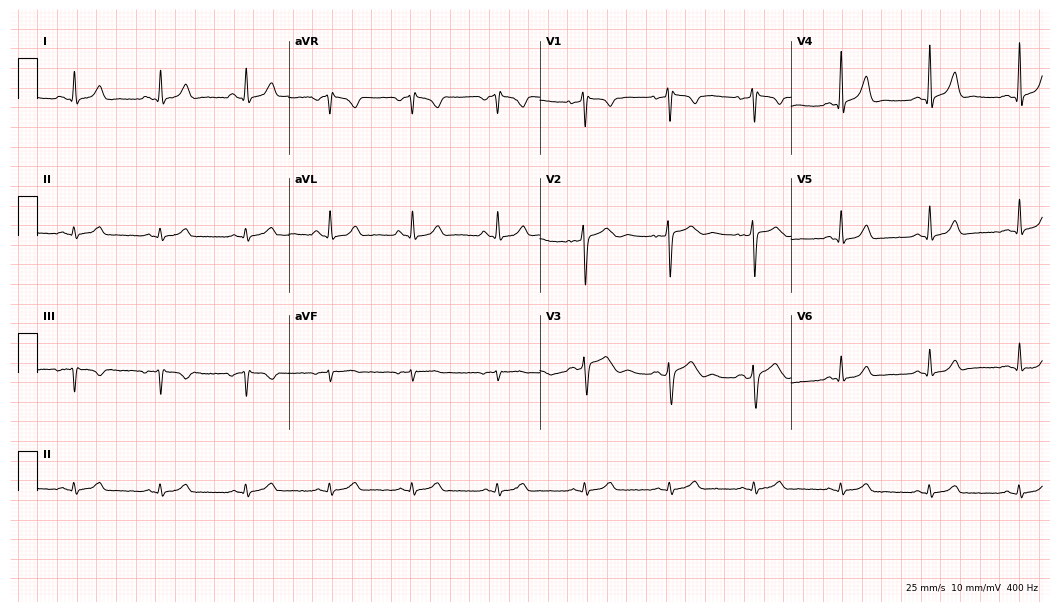
Standard 12-lead ECG recorded from a female patient, 35 years old (10.2-second recording at 400 Hz). Read as a normal ECG.